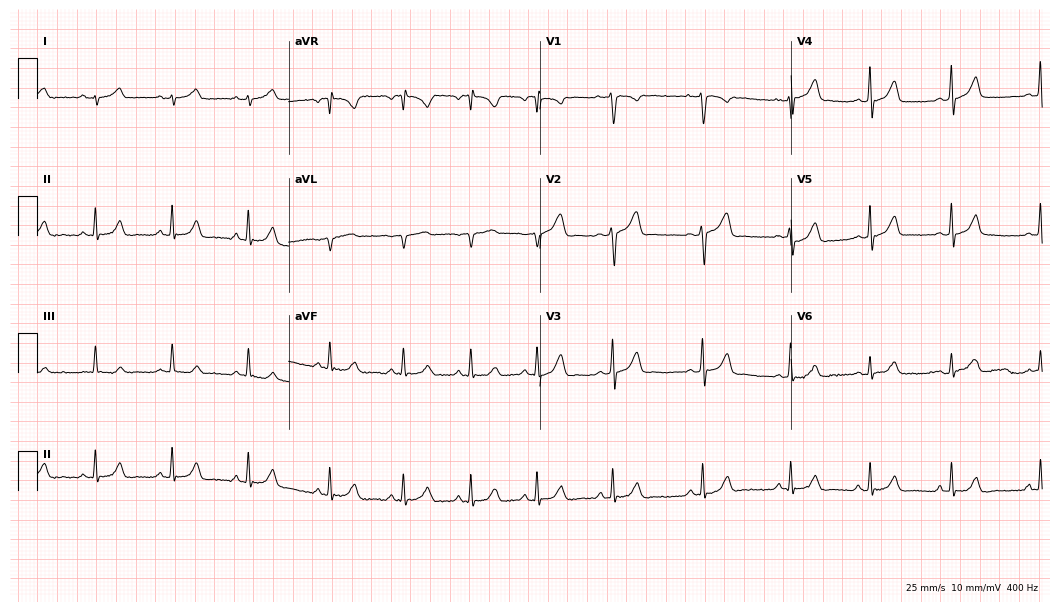
12-lead ECG from a 20-year-old woman (10.2-second recording at 400 Hz). Recorded interpretation: within normal limits.